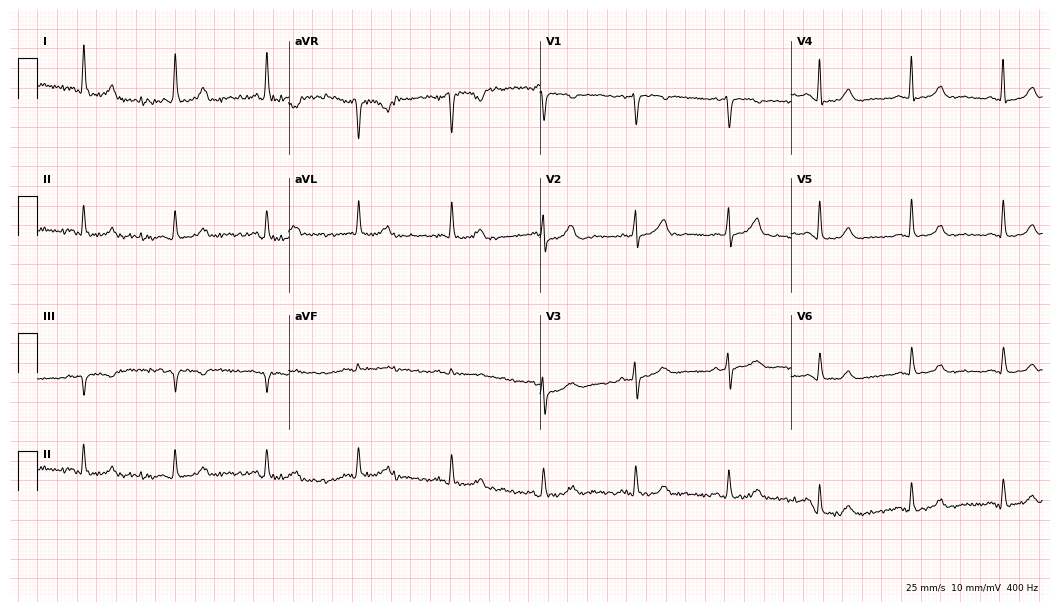
Standard 12-lead ECG recorded from a female patient, 71 years old (10.2-second recording at 400 Hz). None of these six findings is recorded: first-degree AV block, right bundle branch block (RBBB), left bundle branch block (LBBB), sinus bradycardia, atrial fibrillation (AF), sinus tachycardia.